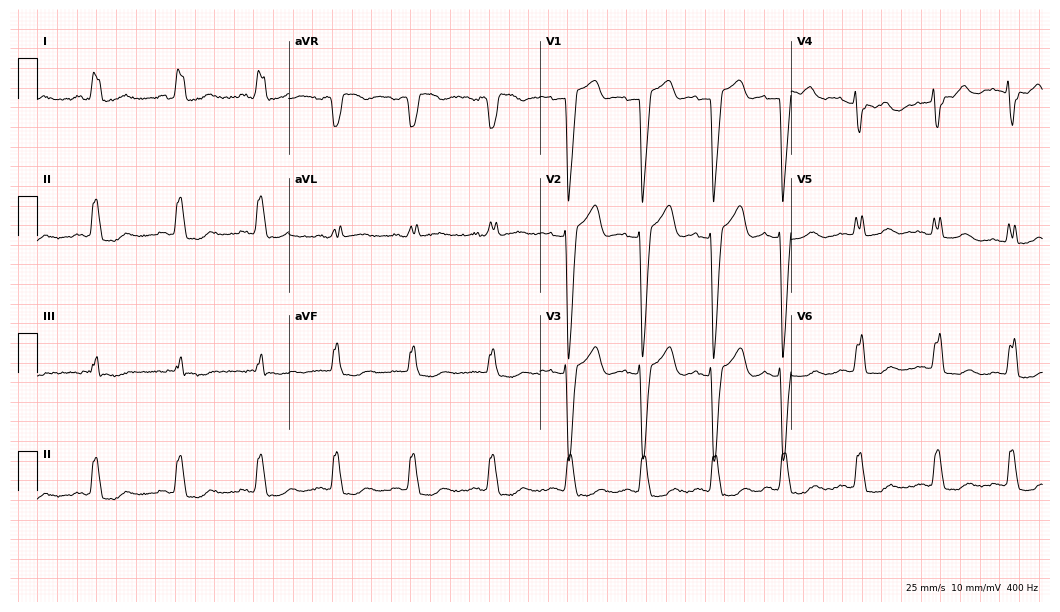
ECG (10.2-second recording at 400 Hz) — a 40-year-old female. Findings include left bundle branch block.